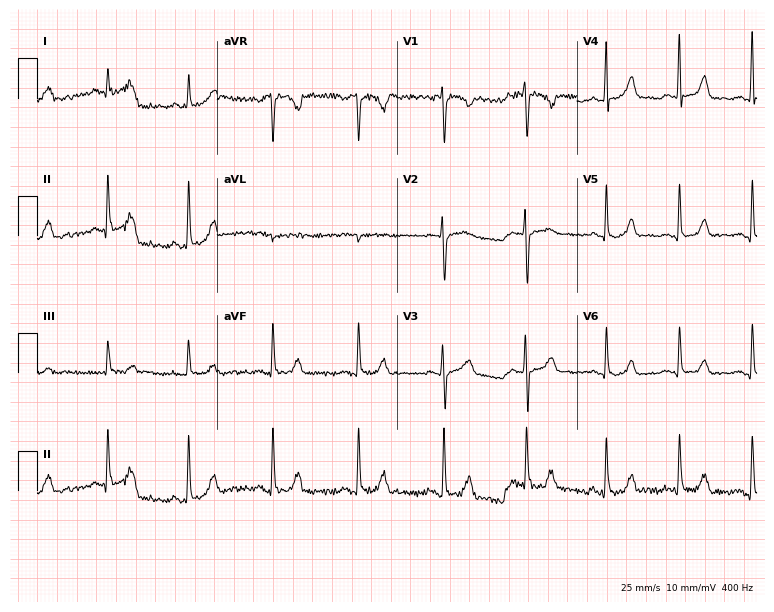
12-lead ECG (7.3-second recording at 400 Hz) from a woman, 23 years old. Screened for six findings — first-degree AV block, right bundle branch block (RBBB), left bundle branch block (LBBB), sinus bradycardia, atrial fibrillation (AF), sinus tachycardia — none is recorded. Findings outside these six are not listed.